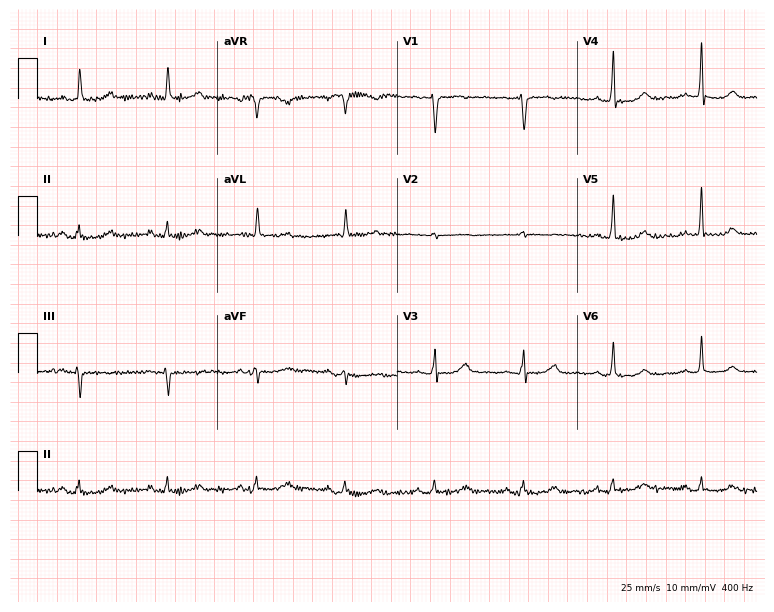
Electrocardiogram (7.3-second recording at 400 Hz), a female patient, 58 years old. Of the six screened findings (first-degree AV block, right bundle branch block, left bundle branch block, sinus bradycardia, atrial fibrillation, sinus tachycardia), none is recorded. Findings outside these six are not listed.